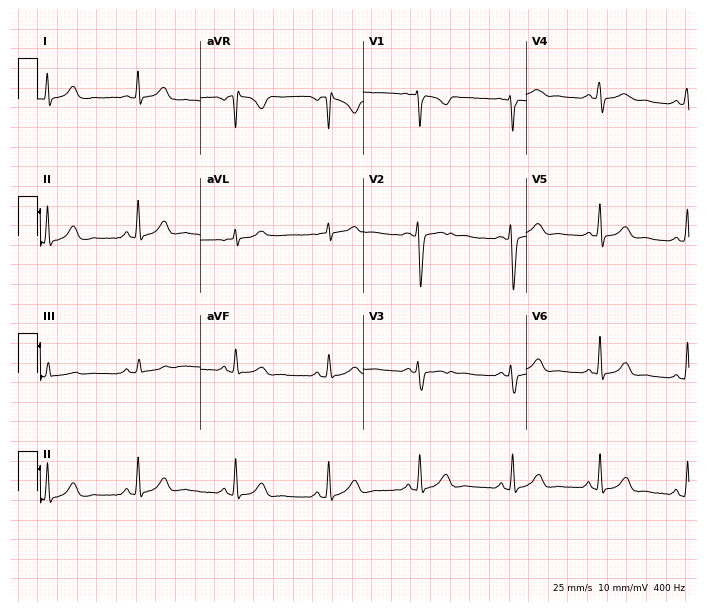
Resting 12-lead electrocardiogram (6.6-second recording at 400 Hz). Patient: a 29-year-old woman. Read as a normal ECG.